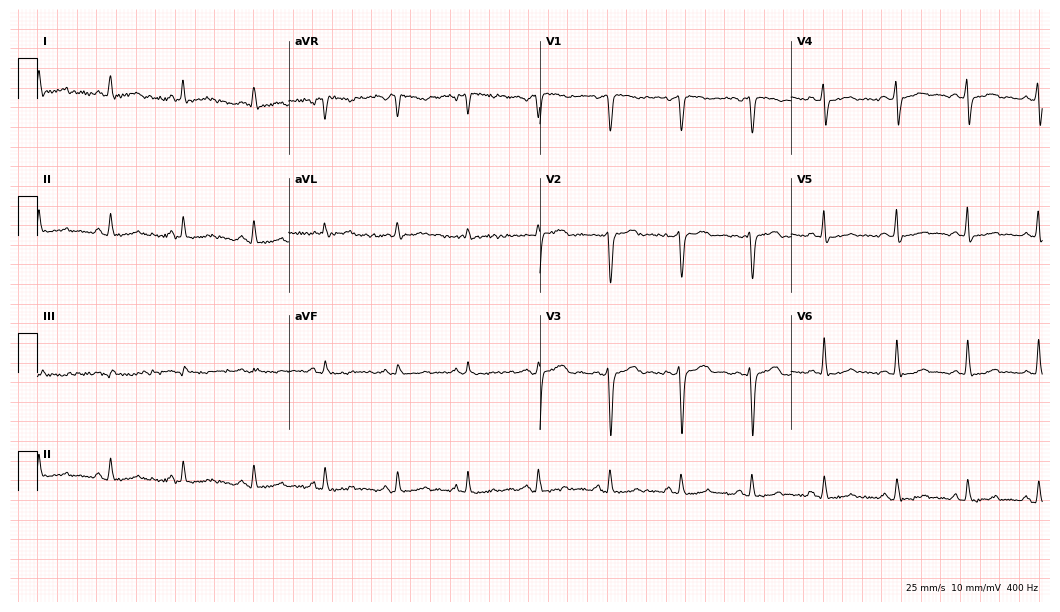
ECG (10.2-second recording at 400 Hz) — a female patient, 38 years old. Screened for six findings — first-degree AV block, right bundle branch block, left bundle branch block, sinus bradycardia, atrial fibrillation, sinus tachycardia — none is recorded.